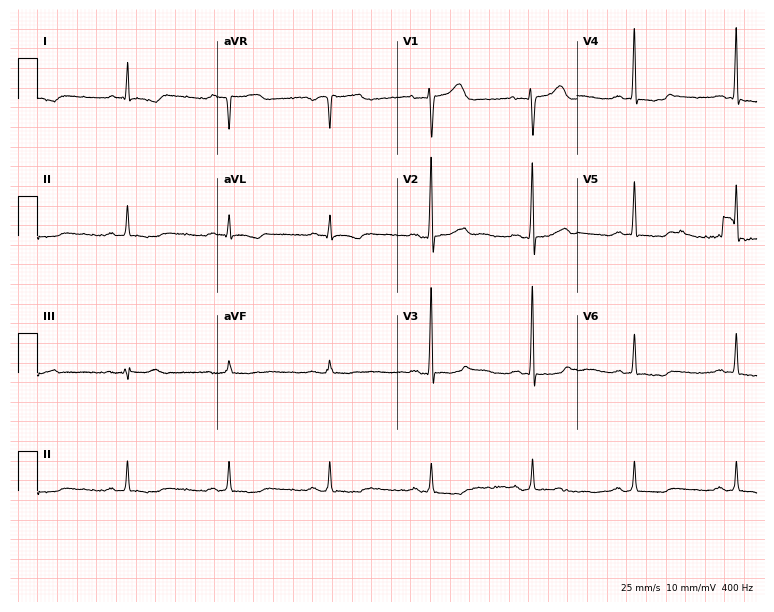
Standard 12-lead ECG recorded from a male patient, 66 years old (7.3-second recording at 400 Hz). None of these six findings is recorded: first-degree AV block, right bundle branch block (RBBB), left bundle branch block (LBBB), sinus bradycardia, atrial fibrillation (AF), sinus tachycardia. Only these six findings were labelled.